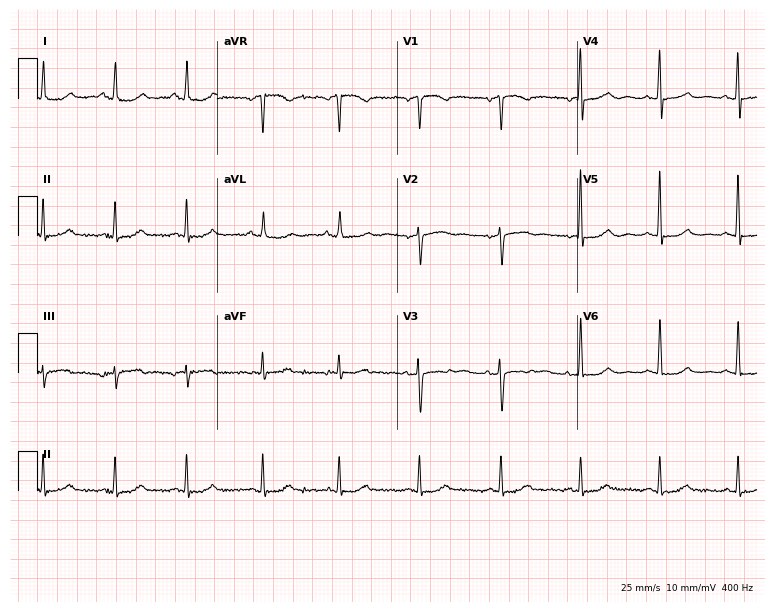
ECG (7.3-second recording at 400 Hz) — a female patient, 66 years old. Labelled as a normal ECG.